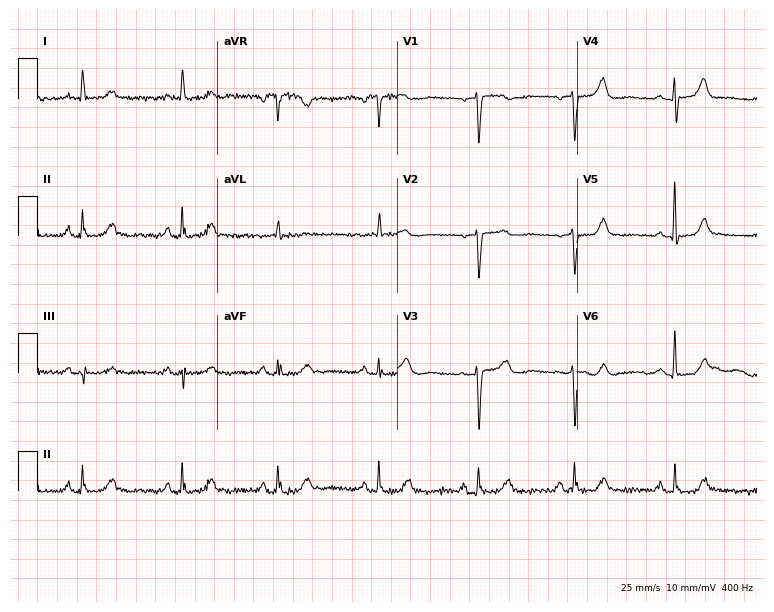
12-lead ECG from a 79-year-old woman (7.3-second recording at 400 Hz). Recorded interpretation: within normal limits.